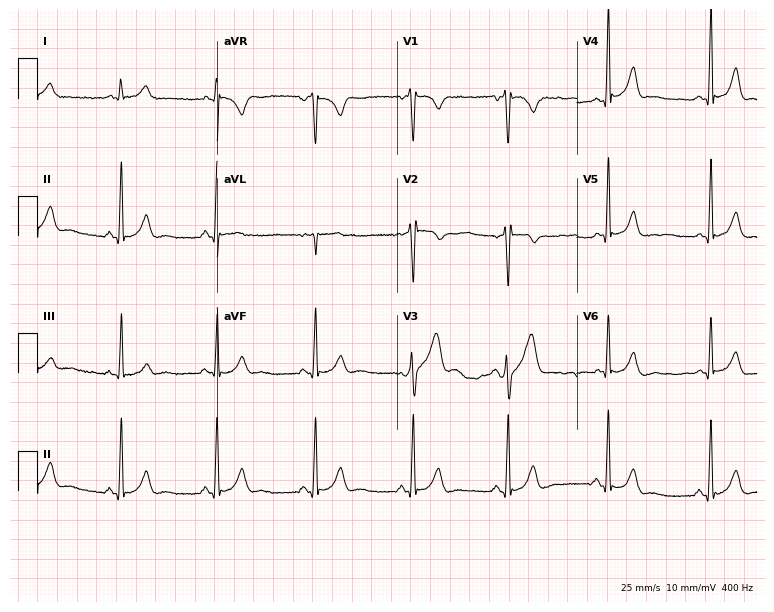
Resting 12-lead electrocardiogram. Patient: a male, 34 years old. None of these six findings is recorded: first-degree AV block, right bundle branch block, left bundle branch block, sinus bradycardia, atrial fibrillation, sinus tachycardia. Other findings, if any, are not listed.